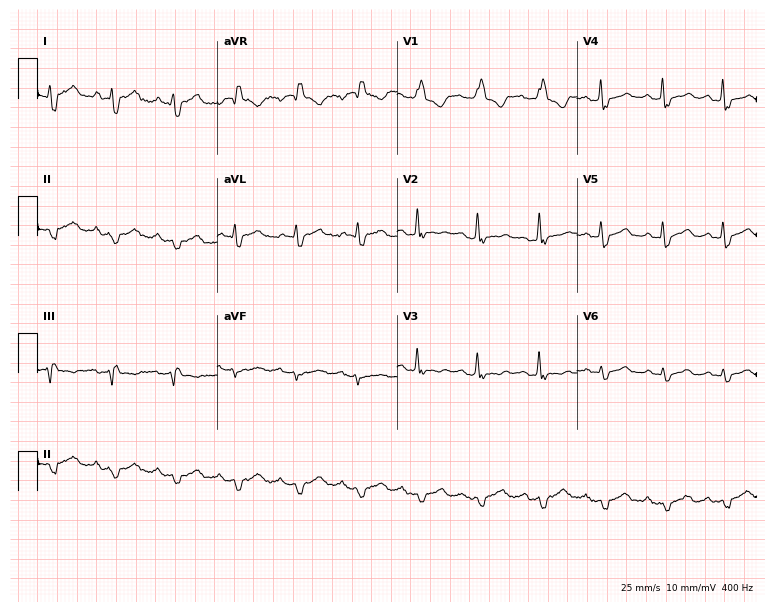
12-lead ECG (7.3-second recording at 400 Hz) from a female patient, 73 years old. Findings include right bundle branch block.